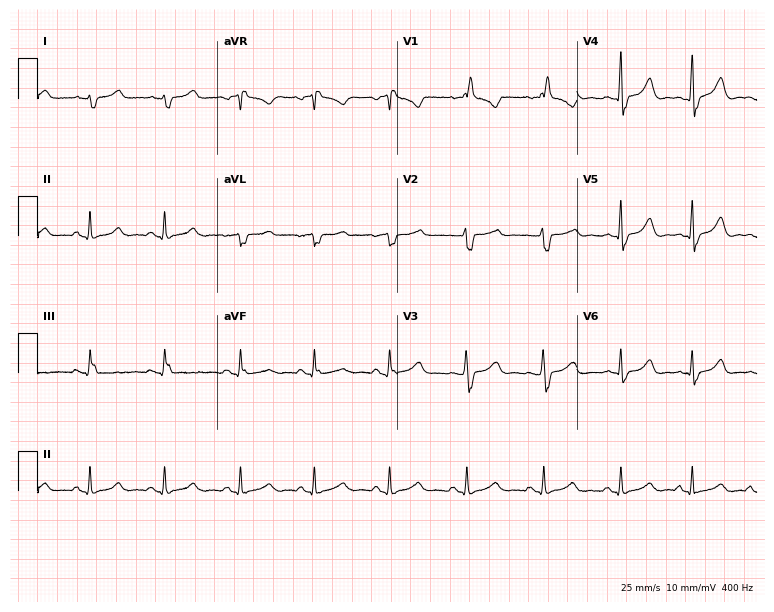
Standard 12-lead ECG recorded from a 43-year-old female patient (7.3-second recording at 400 Hz). The tracing shows right bundle branch block (RBBB).